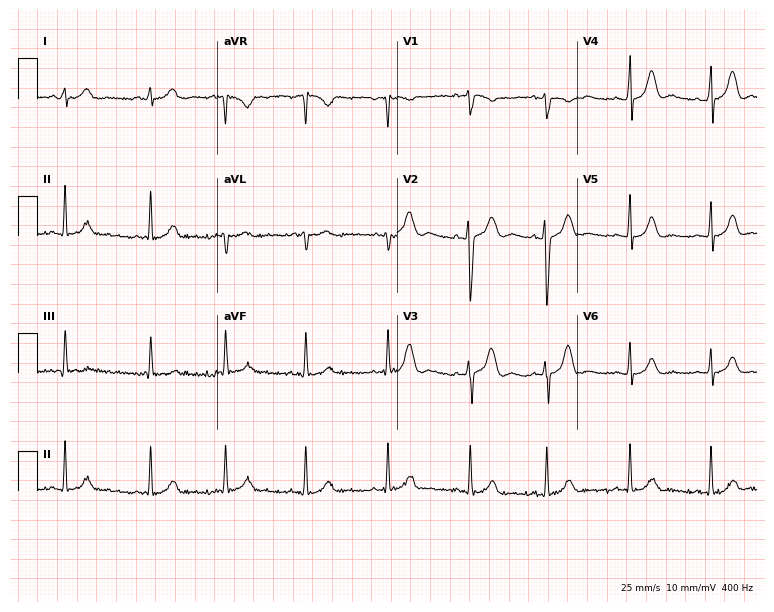
Resting 12-lead electrocardiogram (7.3-second recording at 400 Hz). Patient: an 18-year-old female. None of these six findings is recorded: first-degree AV block, right bundle branch block, left bundle branch block, sinus bradycardia, atrial fibrillation, sinus tachycardia.